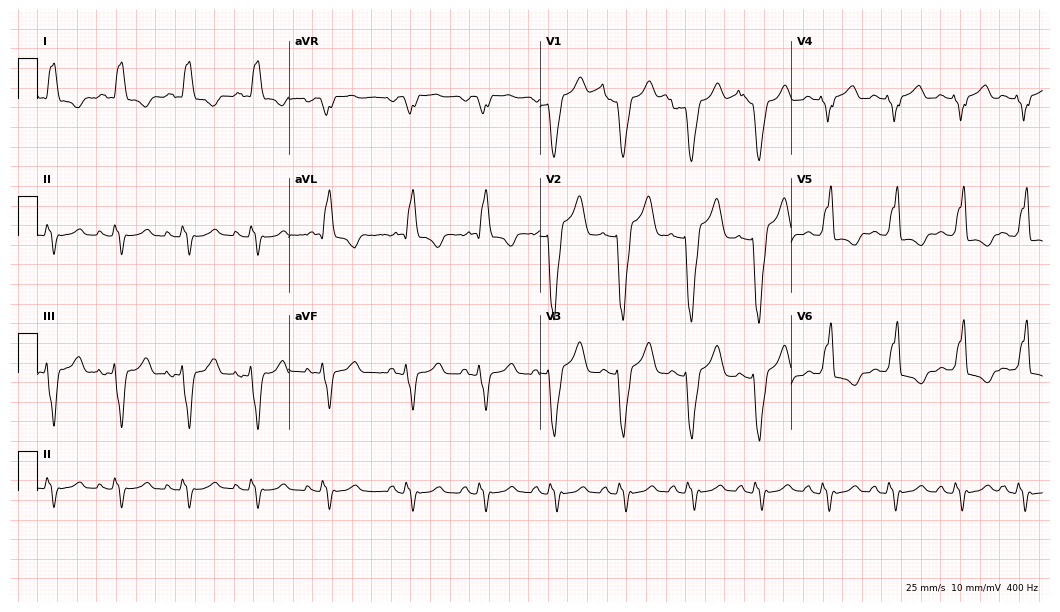
Electrocardiogram (10.2-second recording at 400 Hz), an 80-year-old female patient. Interpretation includes left bundle branch block.